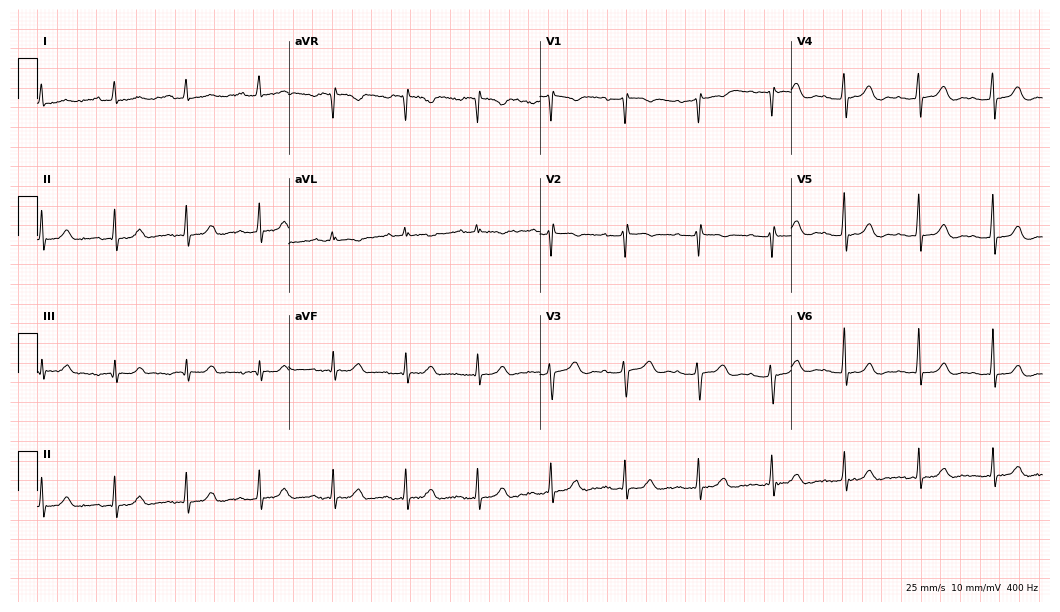
12-lead ECG (10.2-second recording at 400 Hz) from a woman, 51 years old. Labelled as a normal ECG.